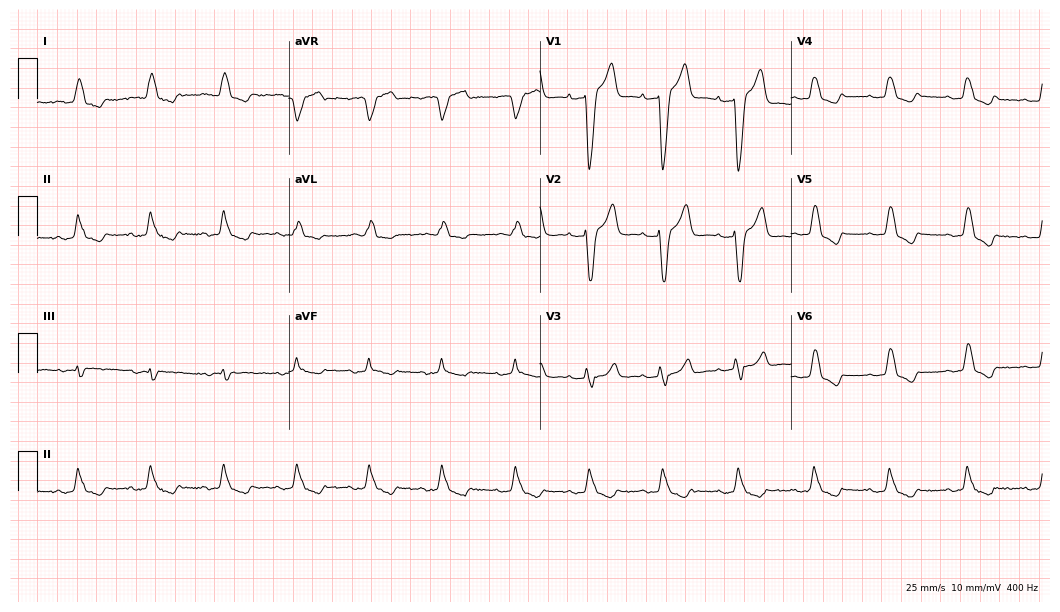
Resting 12-lead electrocardiogram (10.2-second recording at 400 Hz). Patient: a female, 84 years old. The tracing shows left bundle branch block.